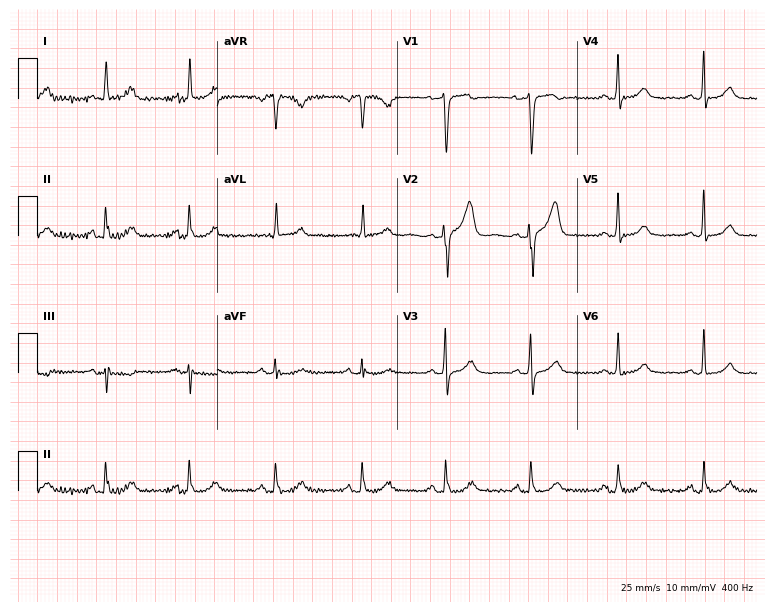
ECG (7.3-second recording at 400 Hz) — a woman, 60 years old. Labelled as a normal ECG.